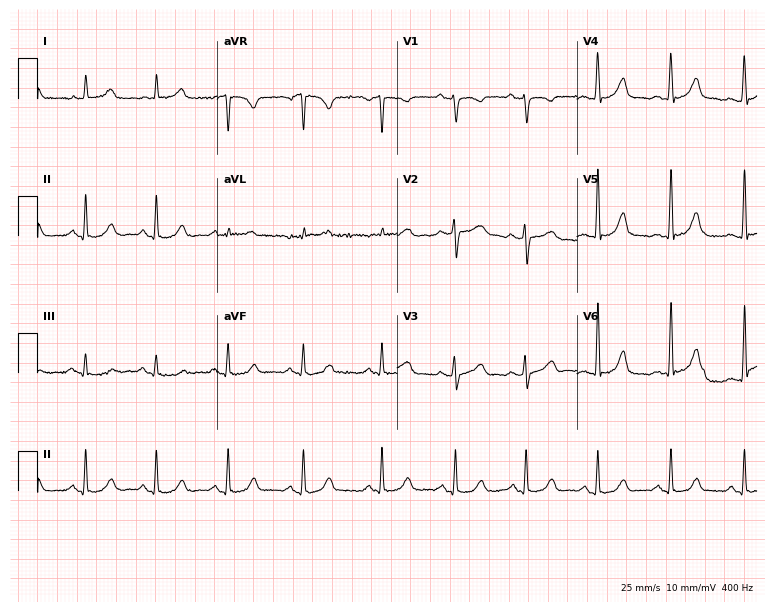
12-lead ECG from a female patient, 44 years old. Labelled as a normal ECG.